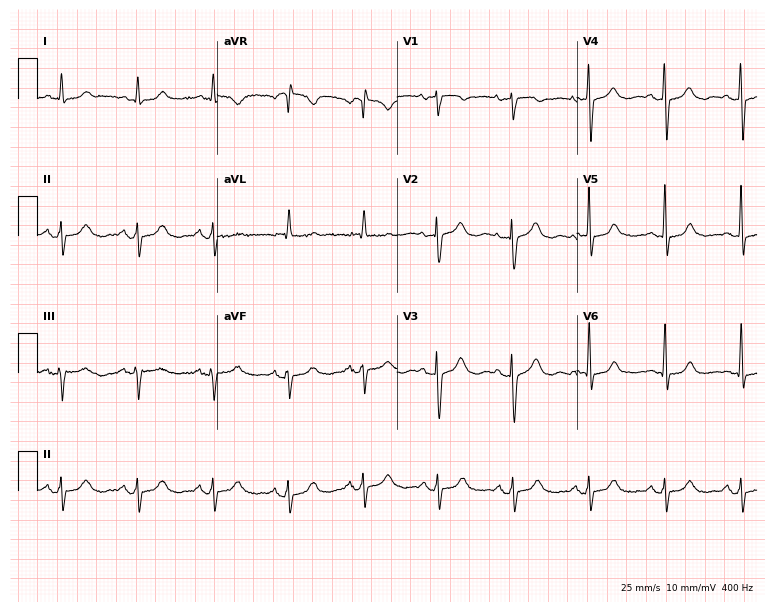
Standard 12-lead ECG recorded from a 57-year-old female (7.3-second recording at 400 Hz). None of these six findings is recorded: first-degree AV block, right bundle branch block, left bundle branch block, sinus bradycardia, atrial fibrillation, sinus tachycardia.